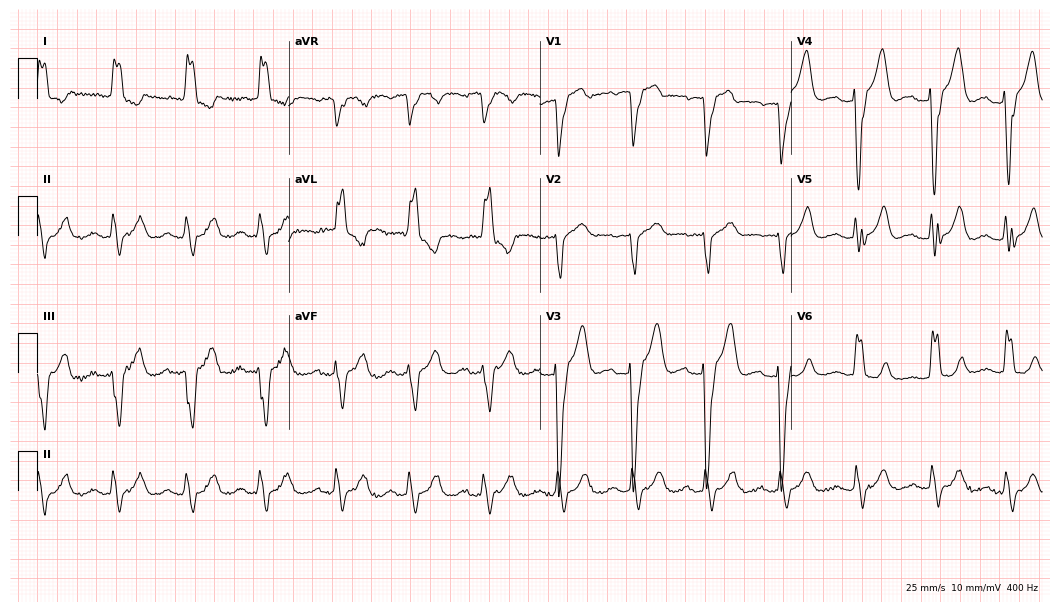
Electrocardiogram, a 78-year-old female. Of the six screened findings (first-degree AV block, right bundle branch block (RBBB), left bundle branch block (LBBB), sinus bradycardia, atrial fibrillation (AF), sinus tachycardia), none is recorded. Other findings, if any, are not listed.